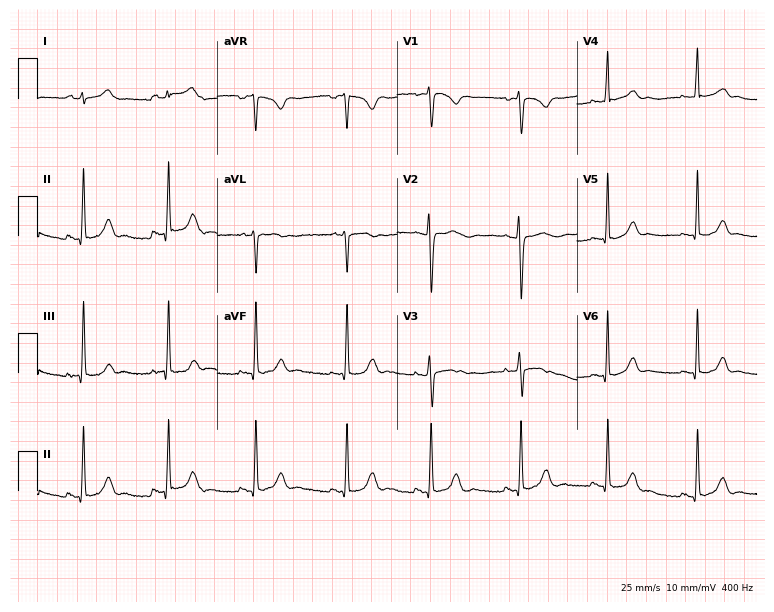
Electrocardiogram (7.3-second recording at 400 Hz), a 19-year-old female patient. Overall reading on record: normal ECG.